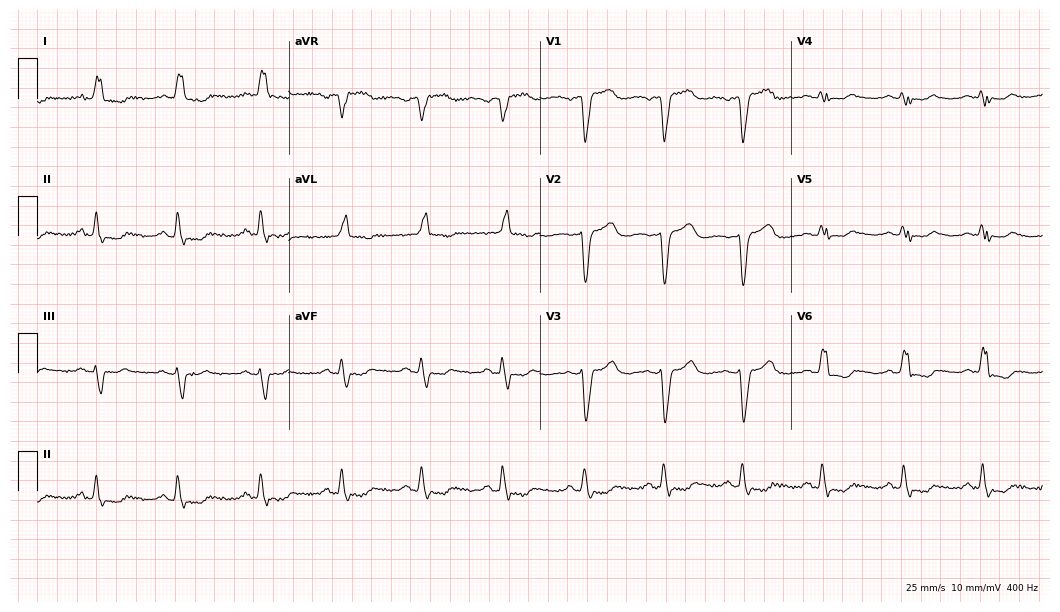
Resting 12-lead electrocardiogram. Patient: a female, 83 years old. The tracing shows left bundle branch block (LBBB).